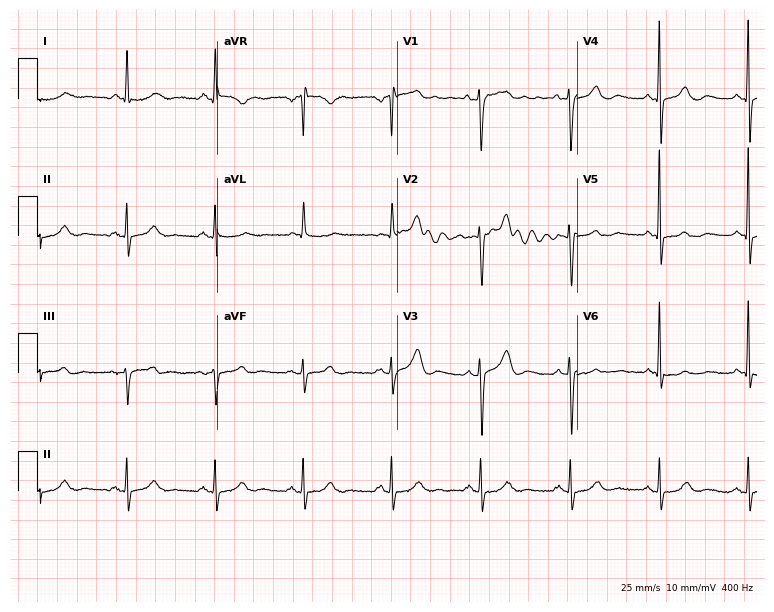
Standard 12-lead ECG recorded from an 82-year-old female patient. None of these six findings is recorded: first-degree AV block, right bundle branch block, left bundle branch block, sinus bradycardia, atrial fibrillation, sinus tachycardia.